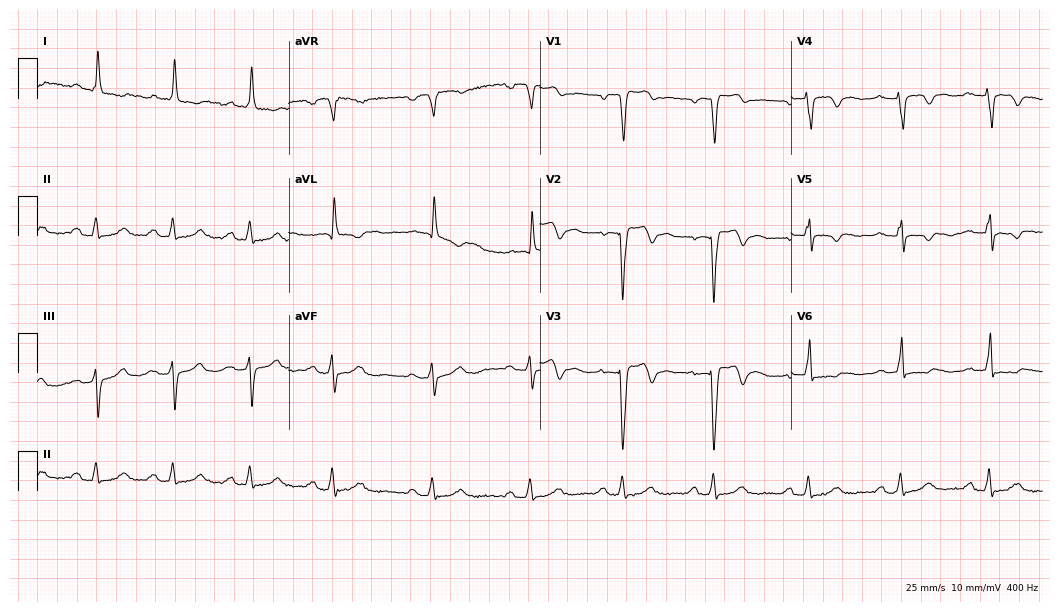
Standard 12-lead ECG recorded from a male, 70 years old. None of these six findings is recorded: first-degree AV block, right bundle branch block (RBBB), left bundle branch block (LBBB), sinus bradycardia, atrial fibrillation (AF), sinus tachycardia. Other findings, if any, are not listed.